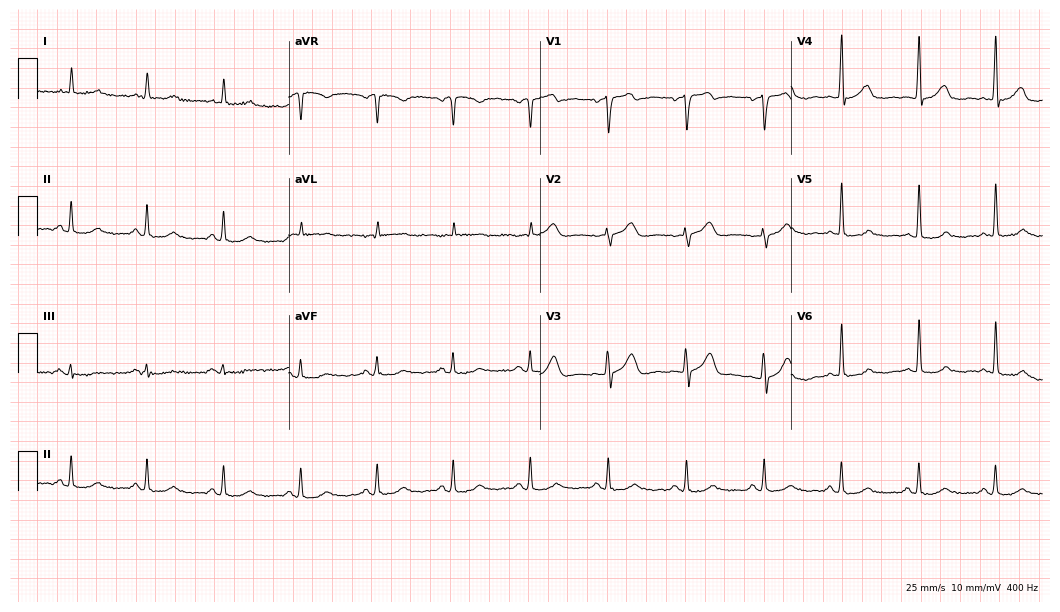
Resting 12-lead electrocardiogram. Patient: a 69-year-old male. Read as a normal ECG.